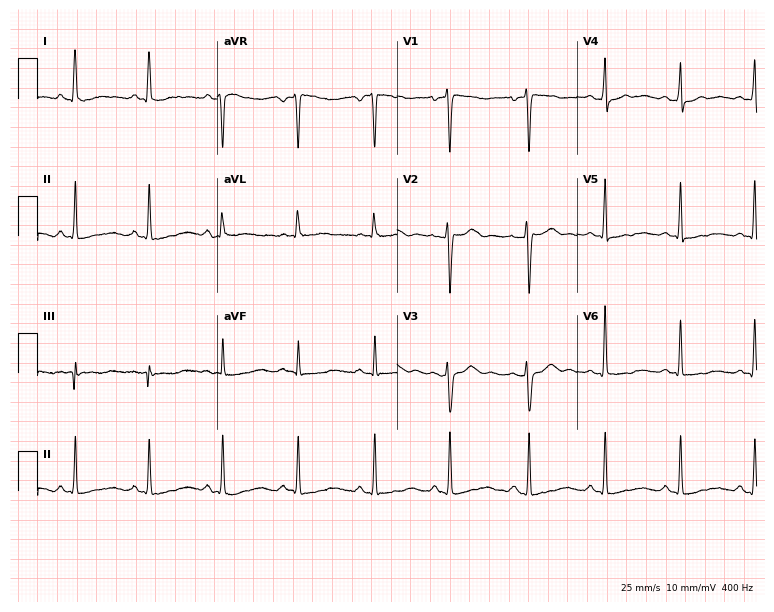
Standard 12-lead ECG recorded from a female, 35 years old. None of these six findings is recorded: first-degree AV block, right bundle branch block (RBBB), left bundle branch block (LBBB), sinus bradycardia, atrial fibrillation (AF), sinus tachycardia.